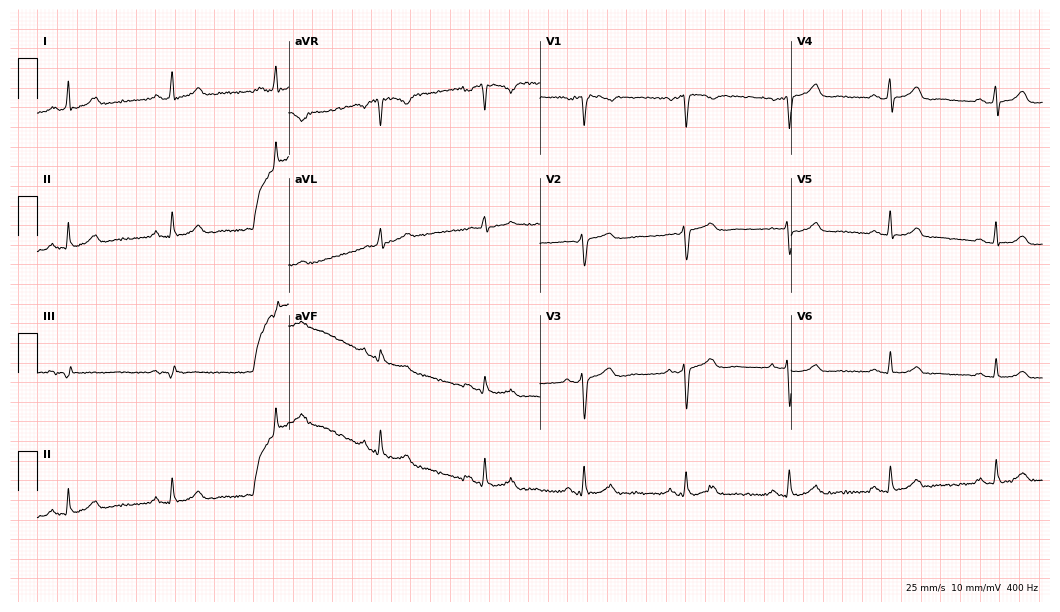
Resting 12-lead electrocardiogram. Patient: a female, 37 years old. Read as a normal ECG.